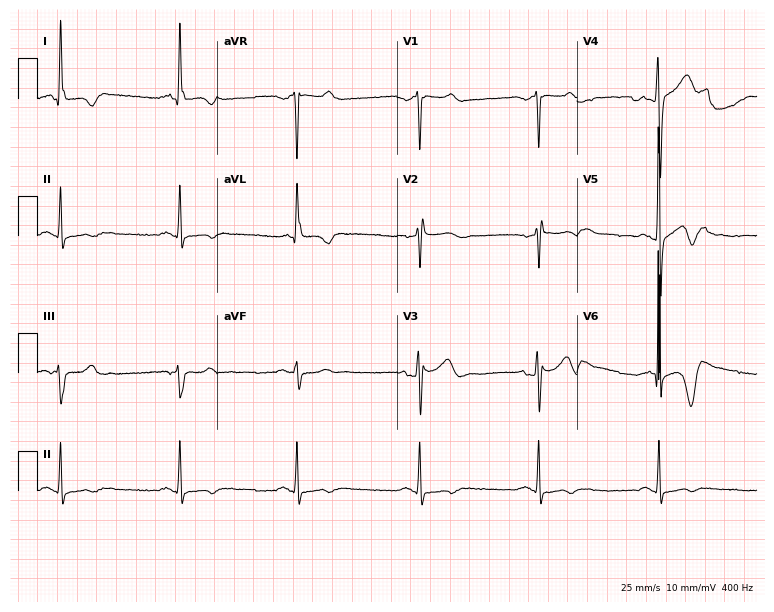
Electrocardiogram (7.3-second recording at 400 Hz), a male, 57 years old. Of the six screened findings (first-degree AV block, right bundle branch block, left bundle branch block, sinus bradycardia, atrial fibrillation, sinus tachycardia), none is recorded. Only these six findings were labelled.